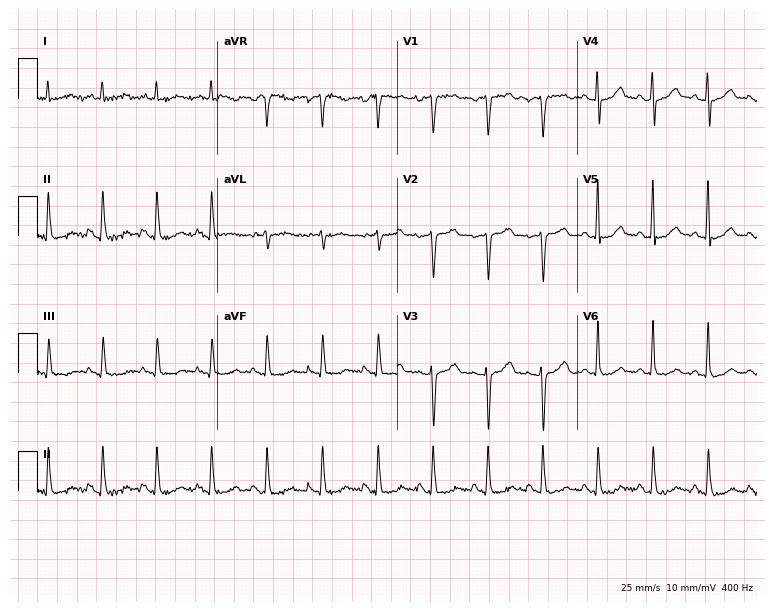
Electrocardiogram, a 59-year-old male. Interpretation includes sinus tachycardia (a sinus rate of 100 beats per minute or more).